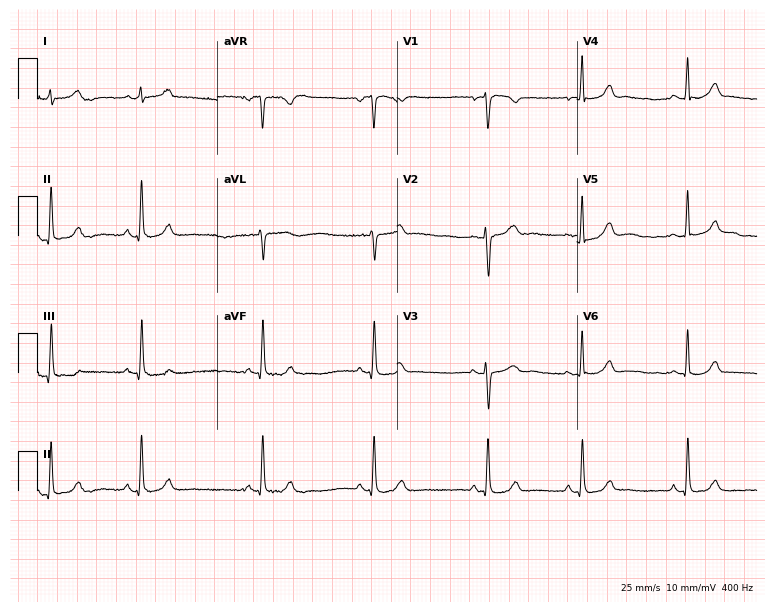
ECG — a 34-year-old female patient. Labelled as a normal ECG.